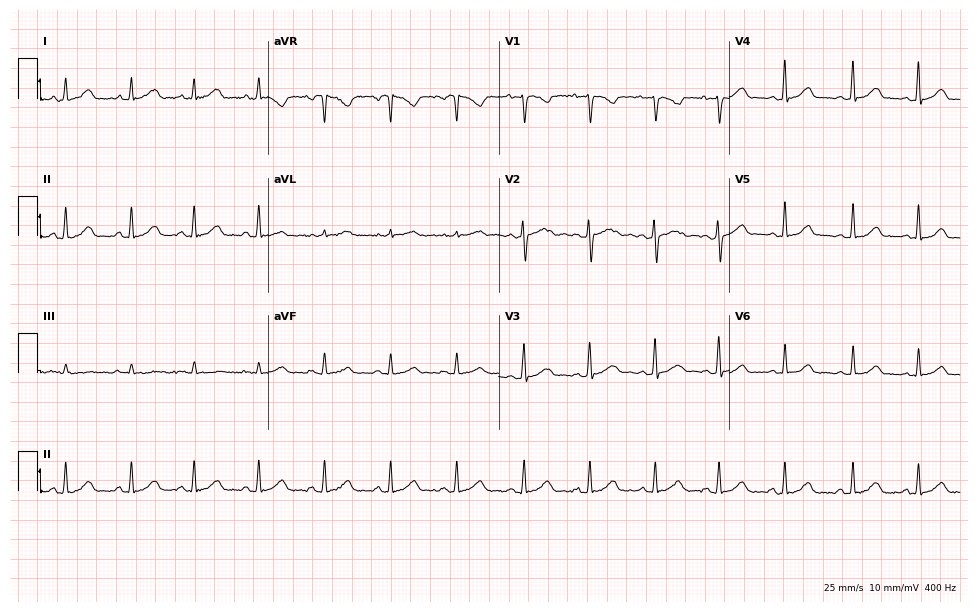
Electrocardiogram (9.4-second recording at 400 Hz), a 22-year-old woman. Of the six screened findings (first-degree AV block, right bundle branch block, left bundle branch block, sinus bradycardia, atrial fibrillation, sinus tachycardia), none is recorded. Only these six findings were labelled.